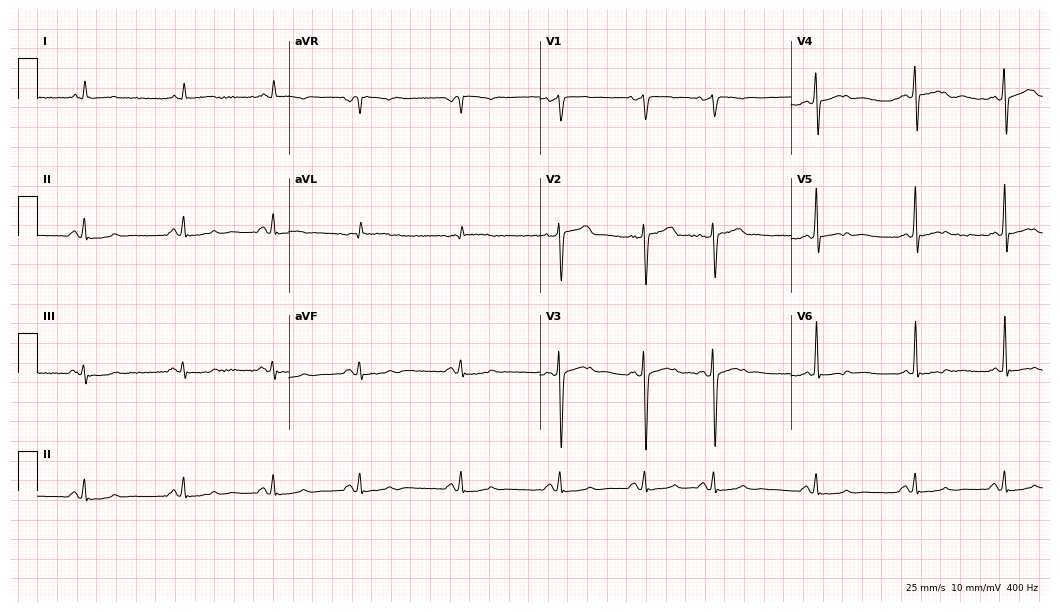
12-lead ECG from a male, 69 years old. Screened for six findings — first-degree AV block, right bundle branch block (RBBB), left bundle branch block (LBBB), sinus bradycardia, atrial fibrillation (AF), sinus tachycardia — none is recorded.